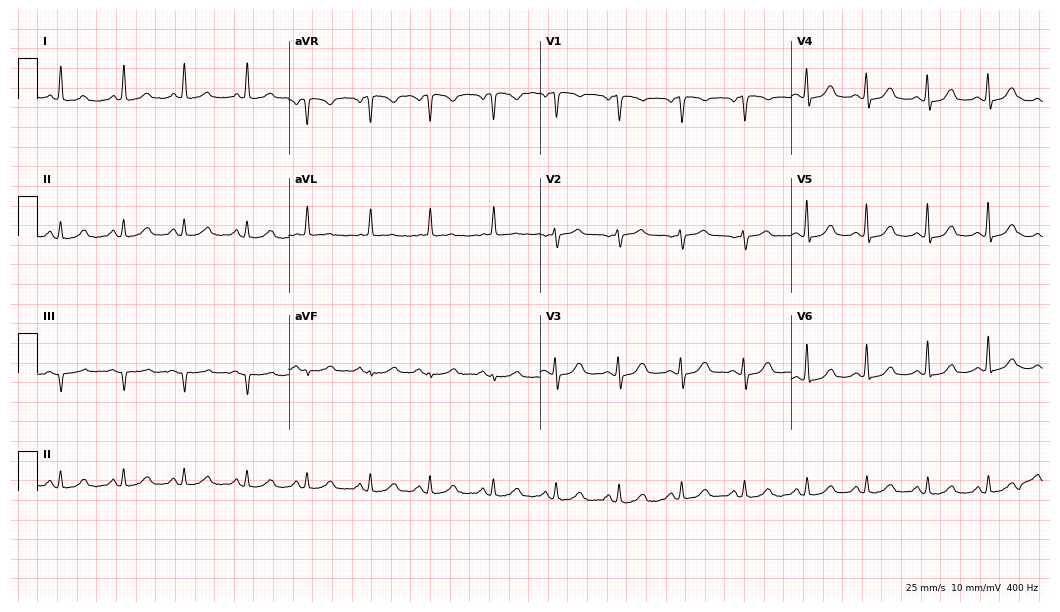
Electrocardiogram, a female patient, 50 years old. Overall reading on record: normal ECG.